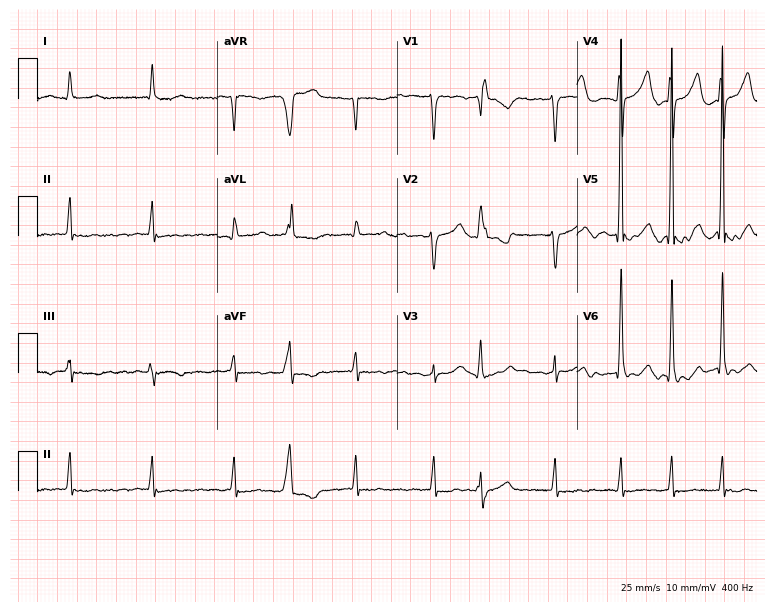
Resting 12-lead electrocardiogram. Patient: a 75-year-old male. The tracing shows atrial fibrillation (AF).